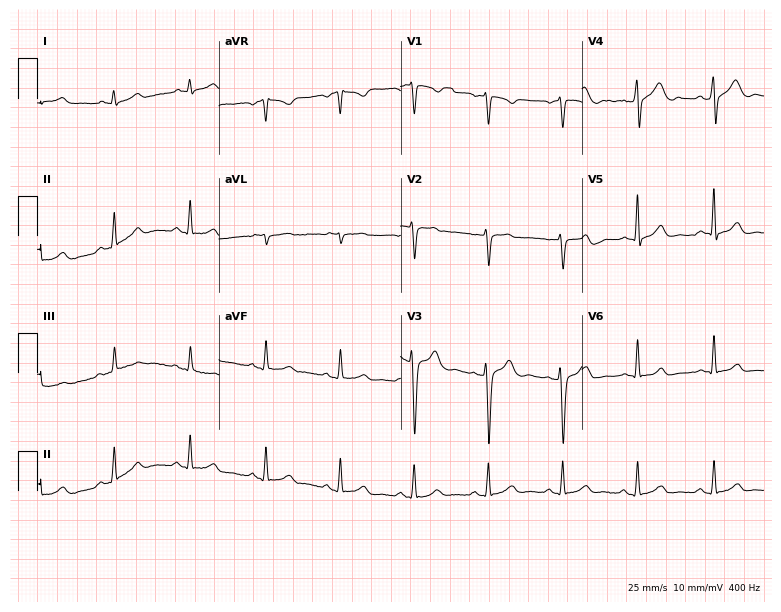
12-lead ECG from a 33-year-old male patient. Recorded interpretation: within normal limits.